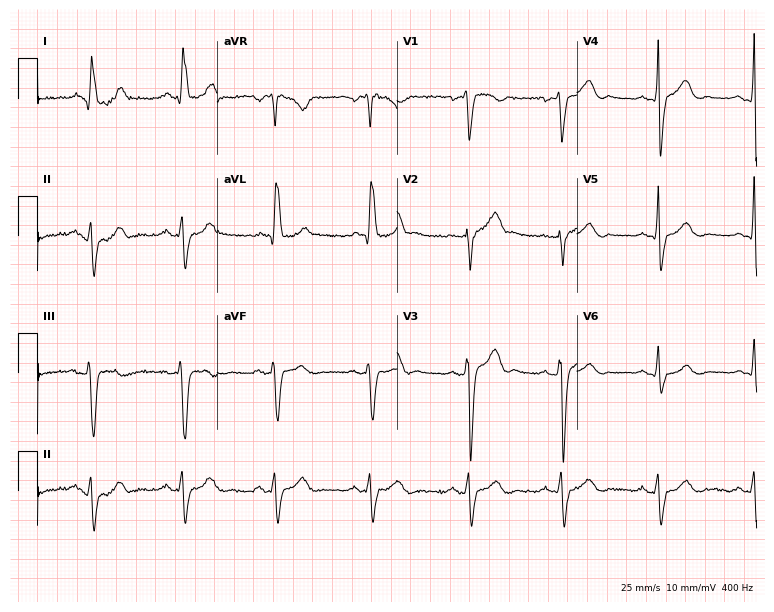
Electrocardiogram (7.3-second recording at 400 Hz), a man, 36 years old. Of the six screened findings (first-degree AV block, right bundle branch block, left bundle branch block, sinus bradycardia, atrial fibrillation, sinus tachycardia), none is recorded. Only these six findings were labelled.